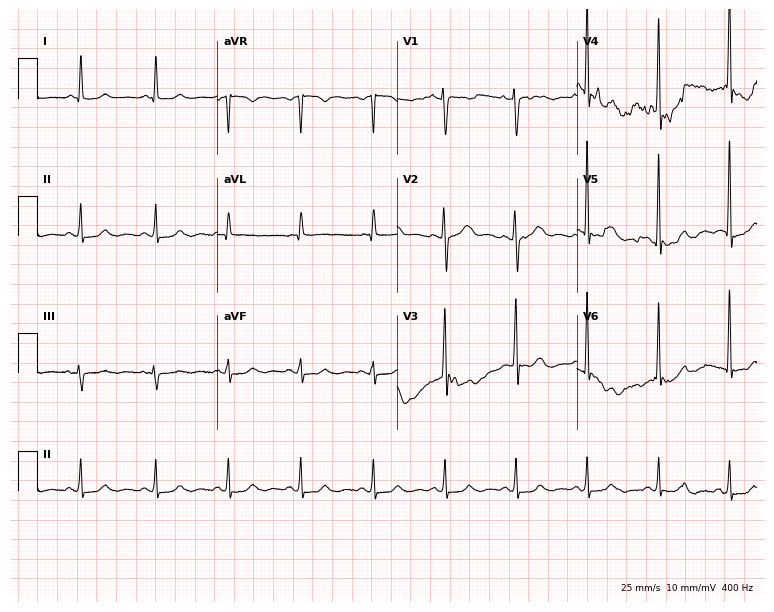
Electrocardiogram (7.3-second recording at 400 Hz), a male patient, 66 years old. Of the six screened findings (first-degree AV block, right bundle branch block, left bundle branch block, sinus bradycardia, atrial fibrillation, sinus tachycardia), none is recorded. Only these six findings were labelled.